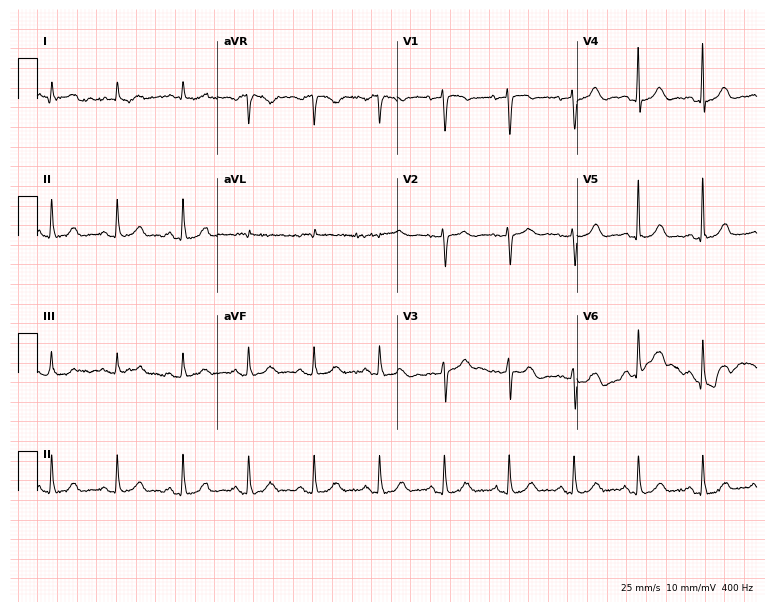
12-lead ECG (7.3-second recording at 400 Hz) from a female patient, 82 years old. Labelled as a normal ECG.